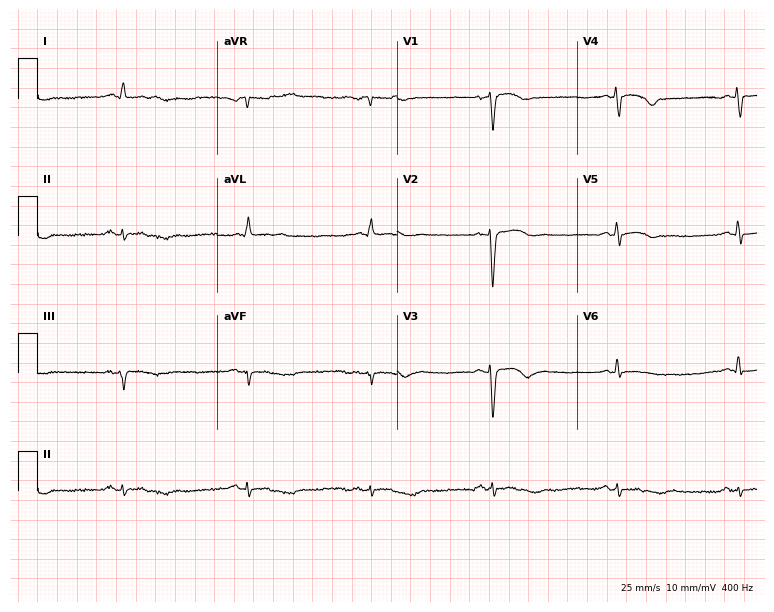
Resting 12-lead electrocardiogram (7.3-second recording at 400 Hz). Patient: a 56-year-old male. The tracing shows sinus bradycardia (a sinus rate of 50 beats per minute or less).